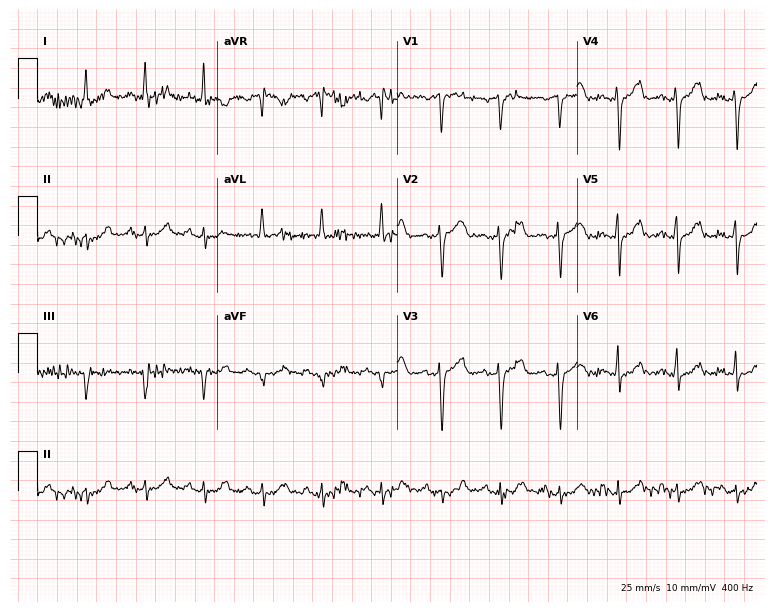
Resting 12-lead electrocardiogram (7.3-second recording at 400 Hz). Patient: a 61-year-old female. Read as a normal ECG.